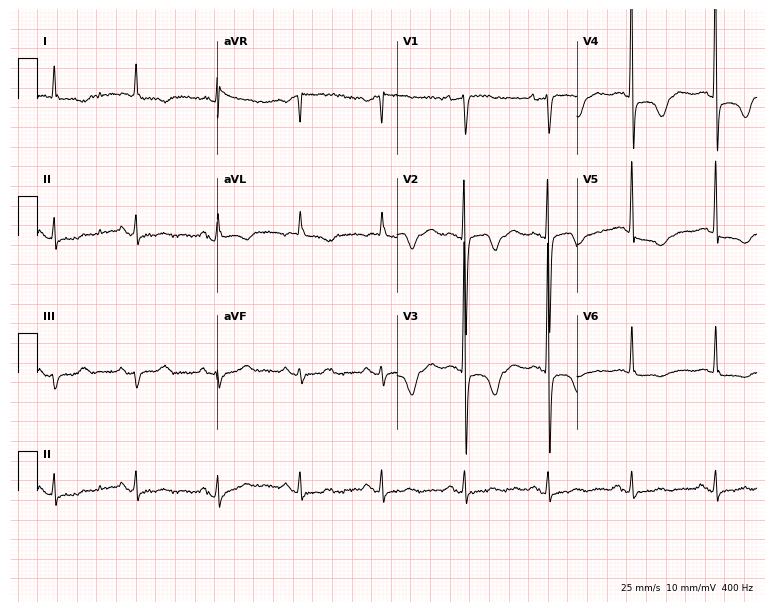
Standard 12-lead ECG recorded from a woman, 75 years old. None of these six findings is recorded: first-degree AV block, right bundle branch block (RBBB), left bundle branch block (LBBB), sinus bradycardia, atrial fibrillation (AF), sinus tachycardia. Only these six findings were labelled.